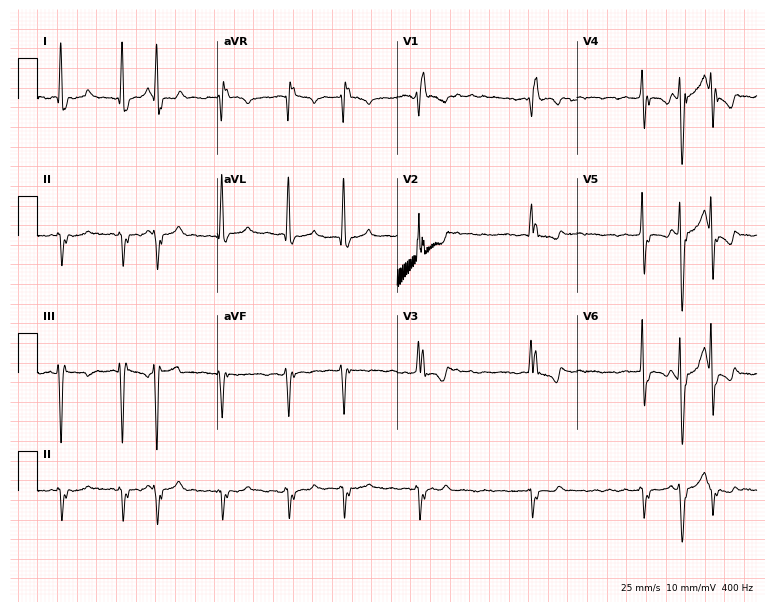
12-lead ECG from a male patient, 76 years old. Findings include right bundle branch block, atrial fibrillation.